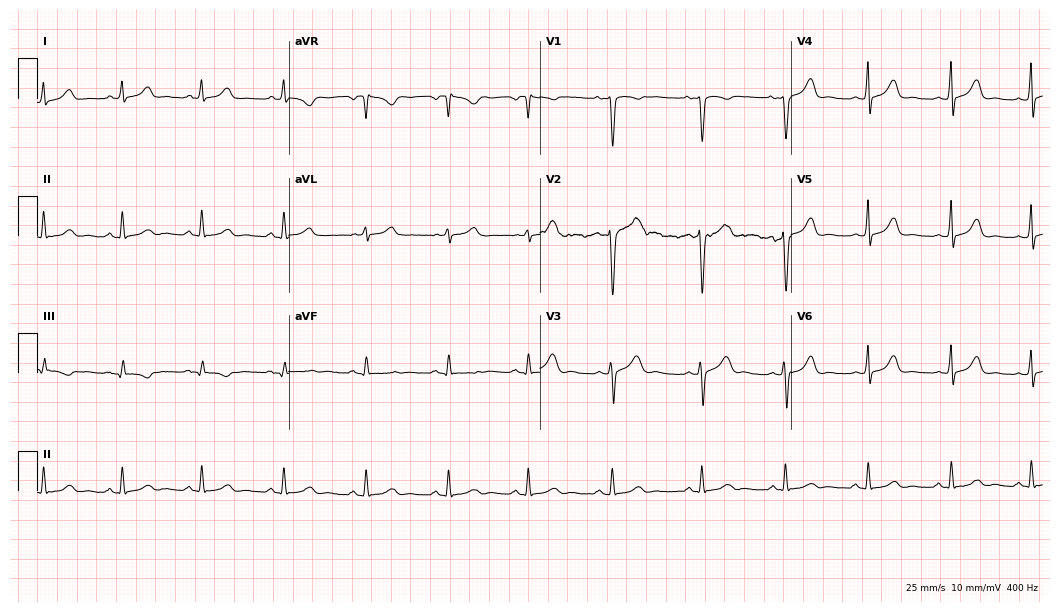
12-lead ECG from a female patient, 22 years old. Recorded interpretation: within normal limits.